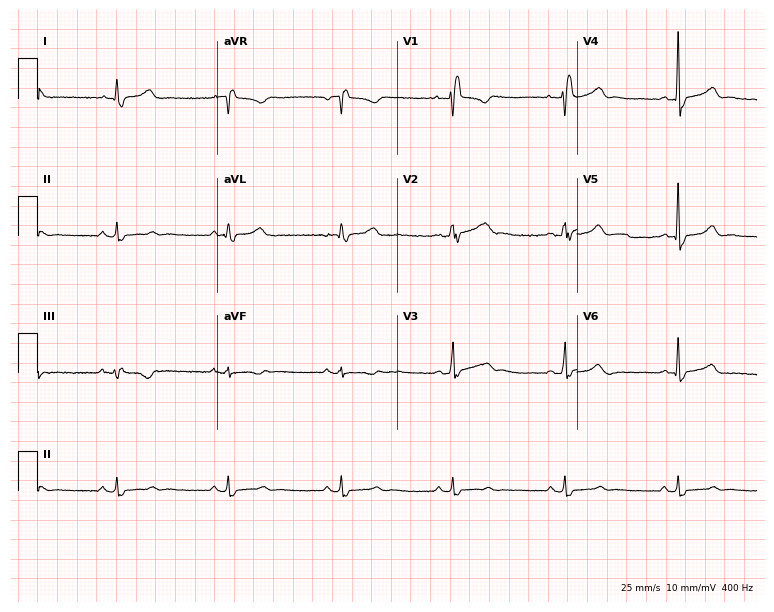
12-lead ECG from a 35-year-old woman (7.3-second recording at 400 Hz). Shows right bundle branch block (RBBB).